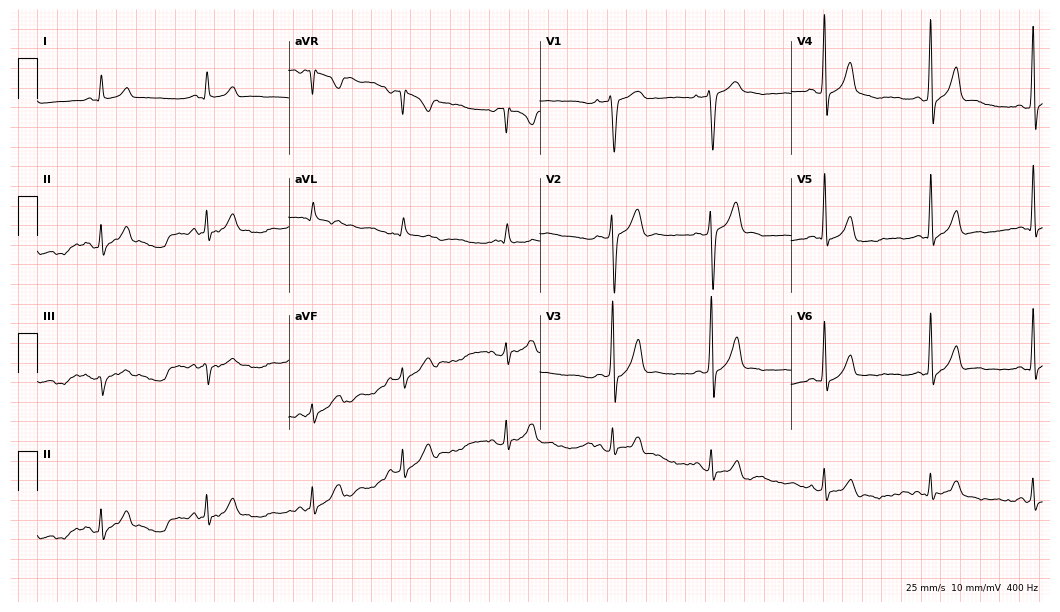
12-lead ECG from a man, 20 years old (10.2-second recording at 400 Hz). Recorded interpretation: within normal limits.